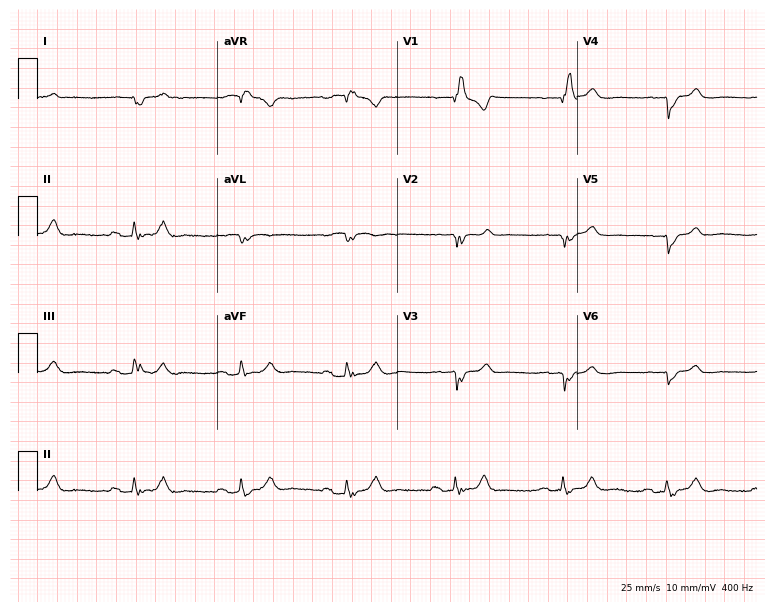
Electrocardiogram, a man, 62 years old. Of the six screened findings (first-degree AV block, right bundle branch block (RBBB), left bundle branch block (LBBB), sinus bradycardia, atrial fibrillation (AF), sinus tachycardia), none is recorded. Findings outside these six are not listed.